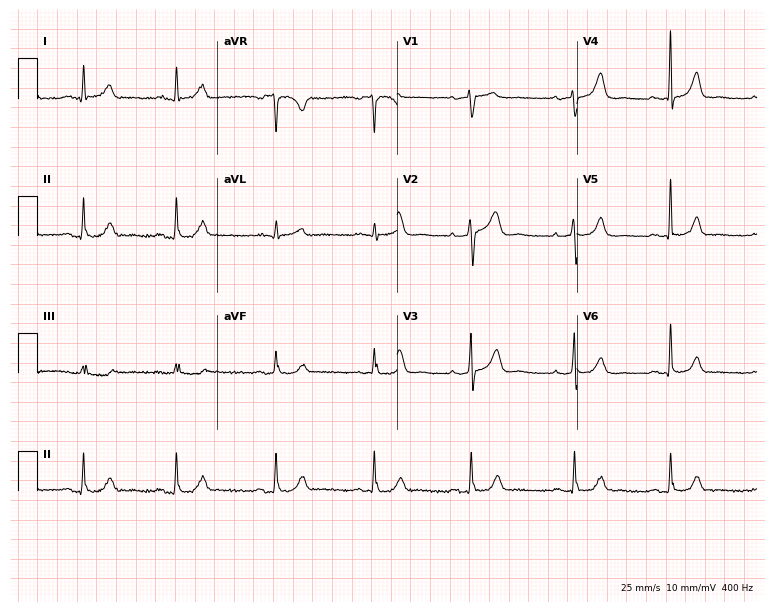
12-lead ECG from a female, 61 years old (7.3-second recording at 400 Hz). Recorded interpretation: within normal limits.